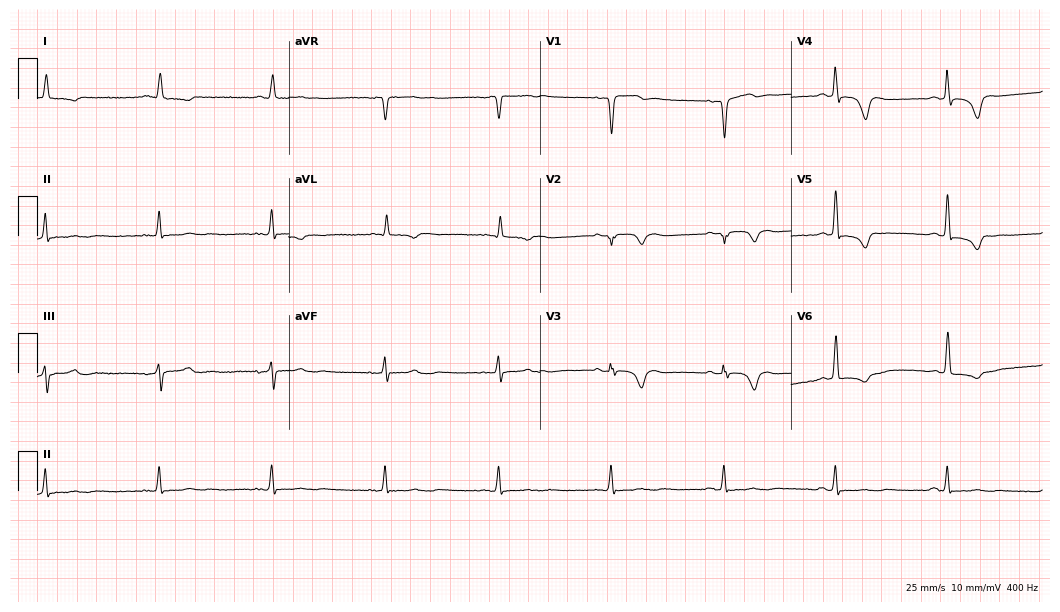
12-lead ECG (10.2-second recording at 400 Hz) from a 77-year-old male. Screened for six findings — first-degree AV block, right bundle branch block, left bundle branch block, sinus bradycardia, atrial fibrillation, sinus tachycardia — none is recorded. Findings outside these six are not listed.